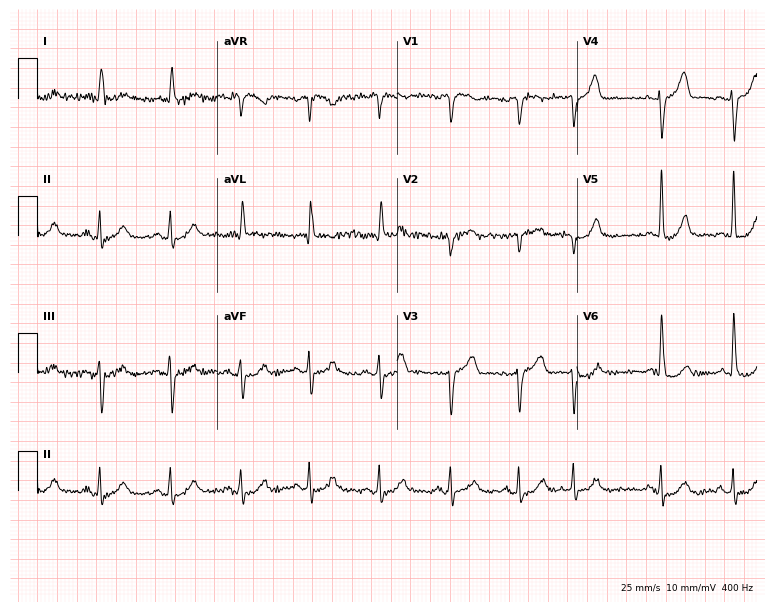
12-lead ECG from a female, 81 years old (7.3-second recording at 400 Hz). No first-degree AV block, right bundle branch block, left bundle branch block, sinus bradycardia, atrial fibrillation or sinus tachycardia recorded for this tracing. Only these six findings were labelled.